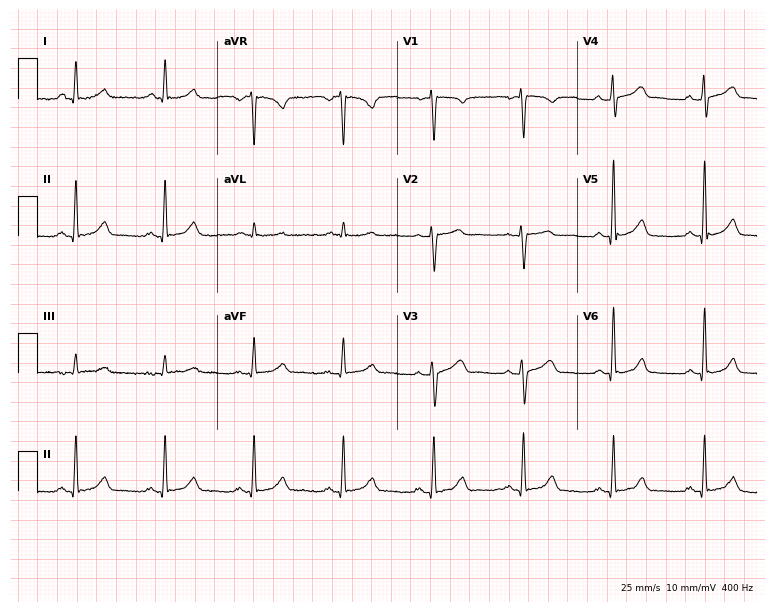
Resting 12-lead electrocardiogram. Patient: a 62-year-old male. Read as a normal ECG.